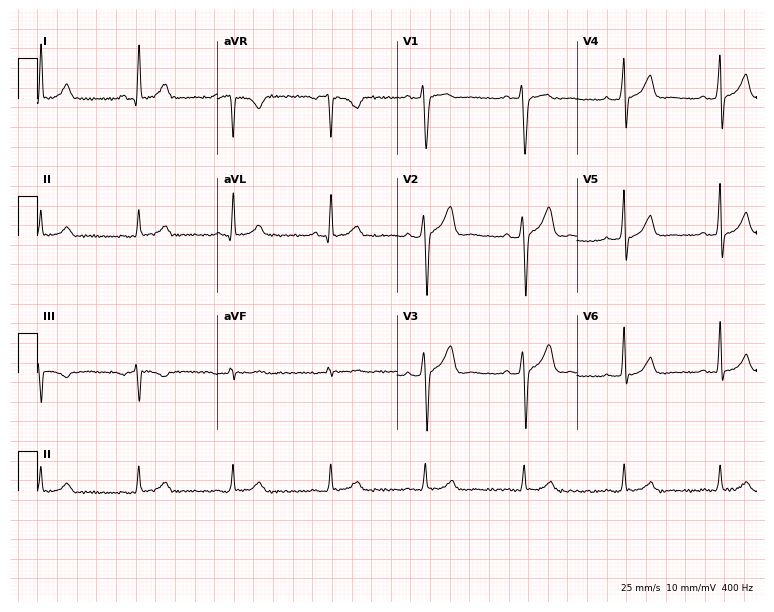
12-lead ECG from a male, 38 years old. Screened for six findings — first-degree AV block, right bundle branch block, left bundle branch block, sinus bradycardia, atrial fibrillation, sinus tachycardia — none is recorded.